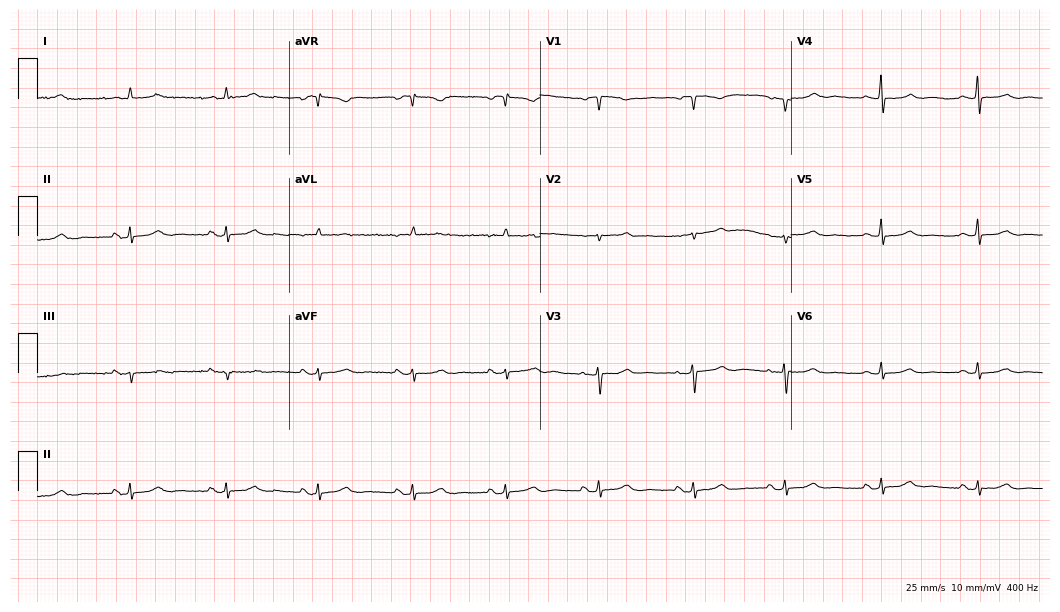
12-lead ECG from a woman, 74 years old (10.2-second recording at 400 Hz). No first-degree AV block, right bundle branch block, left bundle branch block, sinus bradycardia, atrial fibrillation or sinus tachycardia recorded for this tracing. Other findings, if any, are not listed.